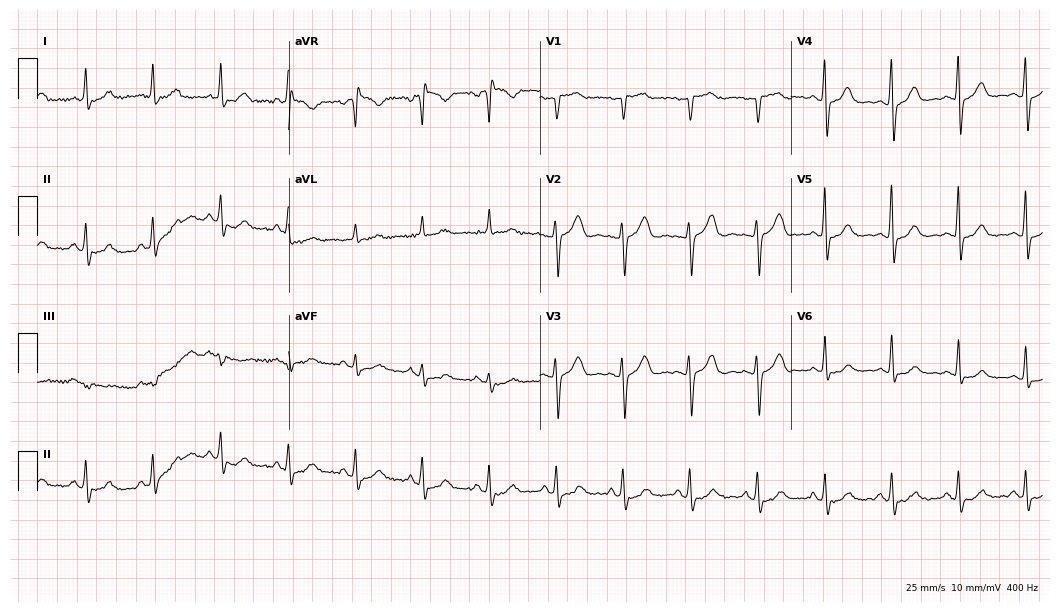
Resting 12-lead electrocardiogram (10.2-second recording at 400 Hz). Patient: a 66-year-old female. Read as a normal ECG.